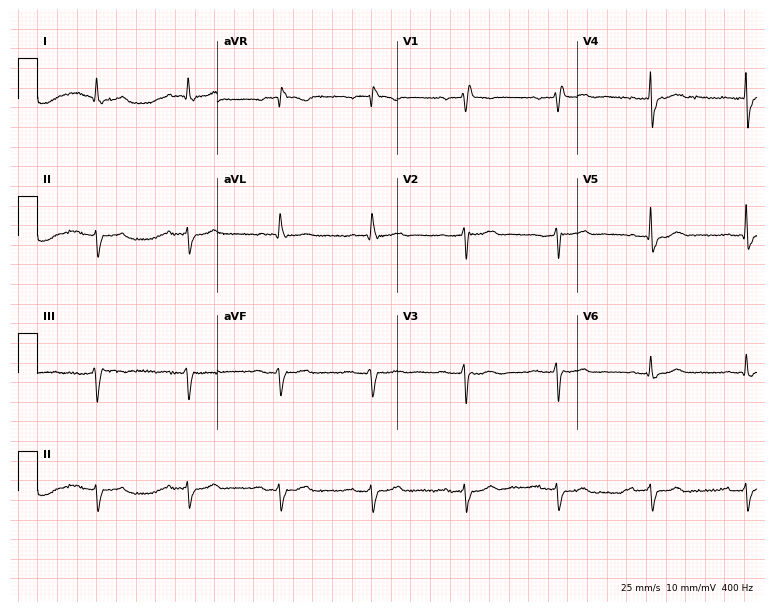
12-lead ECG (7.3-second recording at 400 Hz) from a male, 82 years old. Findings include right bundle branch block.